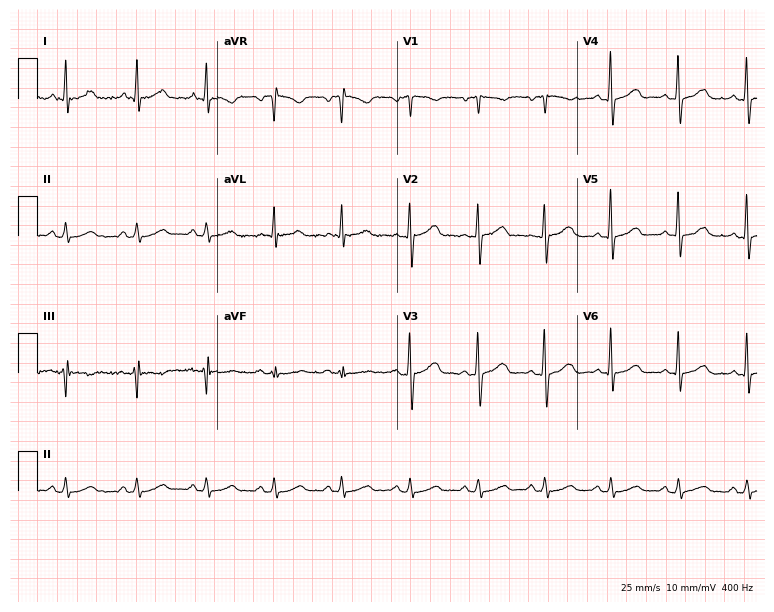
Resting 12-lead electrocardiogram (7.3-second recording at 400 Hz). Patient: a male, 65 years old. None of these six findings is recorded: first-degree AV block, right bundle branch block (RBBB), left bundle branch block (LBBB), sinus bradycardia, atrial fibrillation (AF), sinus tachycardia. Only these six findings were labelled.